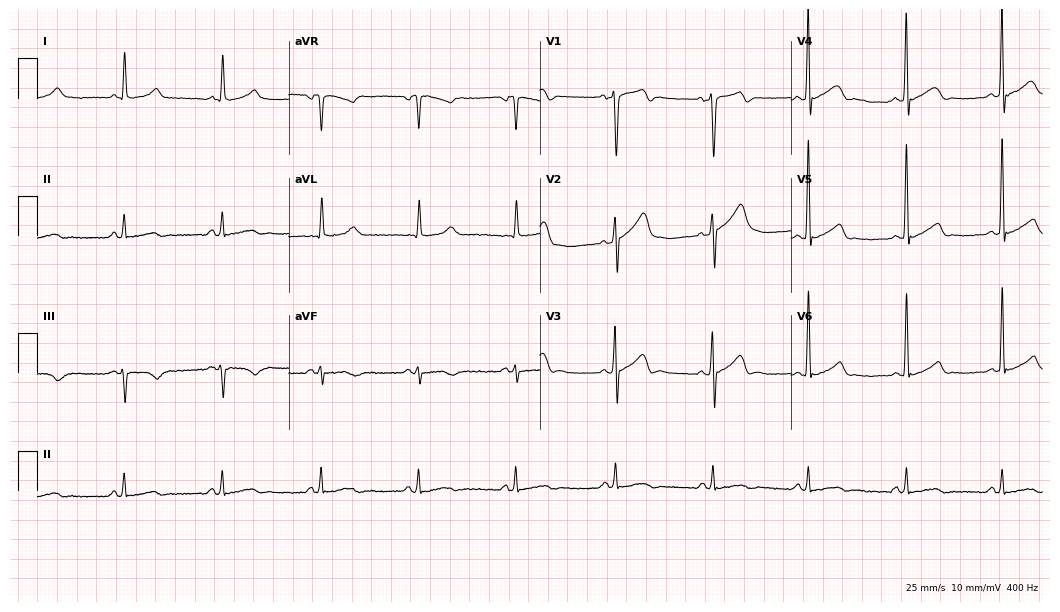
Electrocardiogram (10.2-second recording at 400 Hz), a male, 56 years old. Of the six screened findings (first-degree AV block, right bundle branch block (RBBB), left bundle branch block (LBBB), sinus bradycardia, atrial fibrillation (AF), sinus tachycardia), none is recorded.